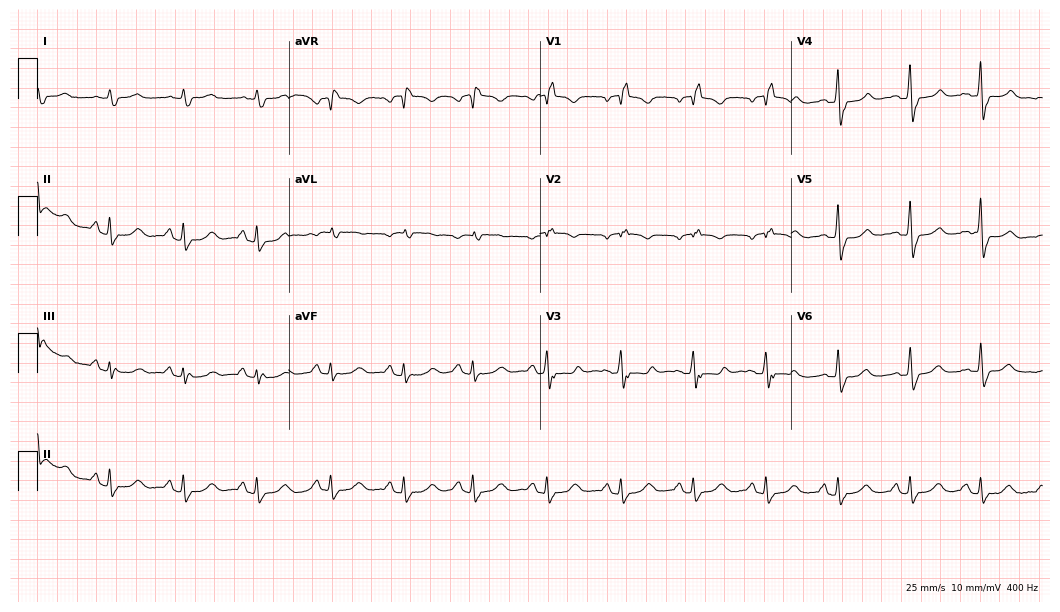
ECG — a man, 84 years old. Findings include right bundle branch block (RBBB).